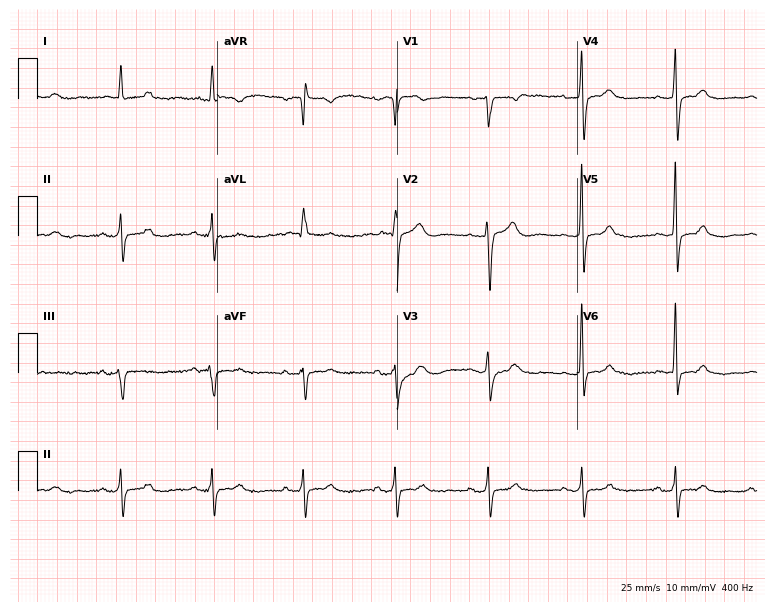
Standard 12-lead ECG recorded from a 70-year-old woman (7.3-second recording at 400 Hz). Read as a normal ECG.